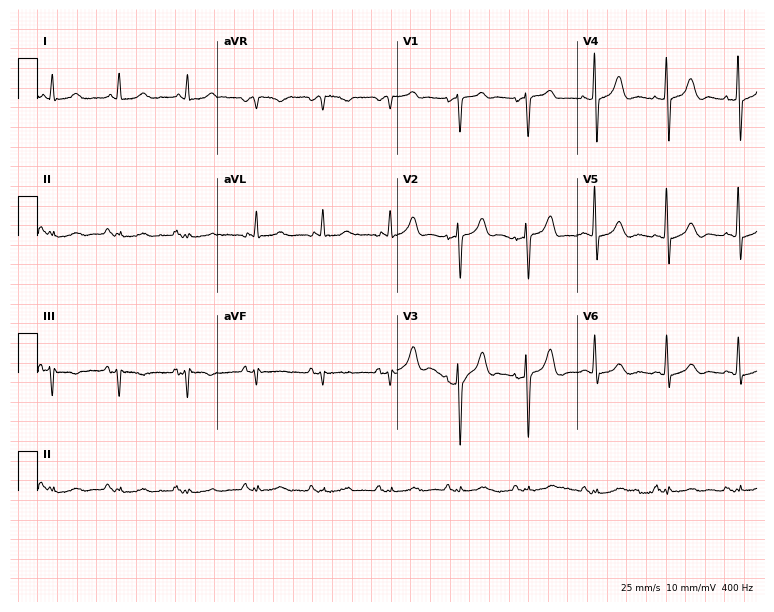
ECG (7.3-second recording at 400 Hz) — a 77-year-old male patient. Labelled as a normal ECG.